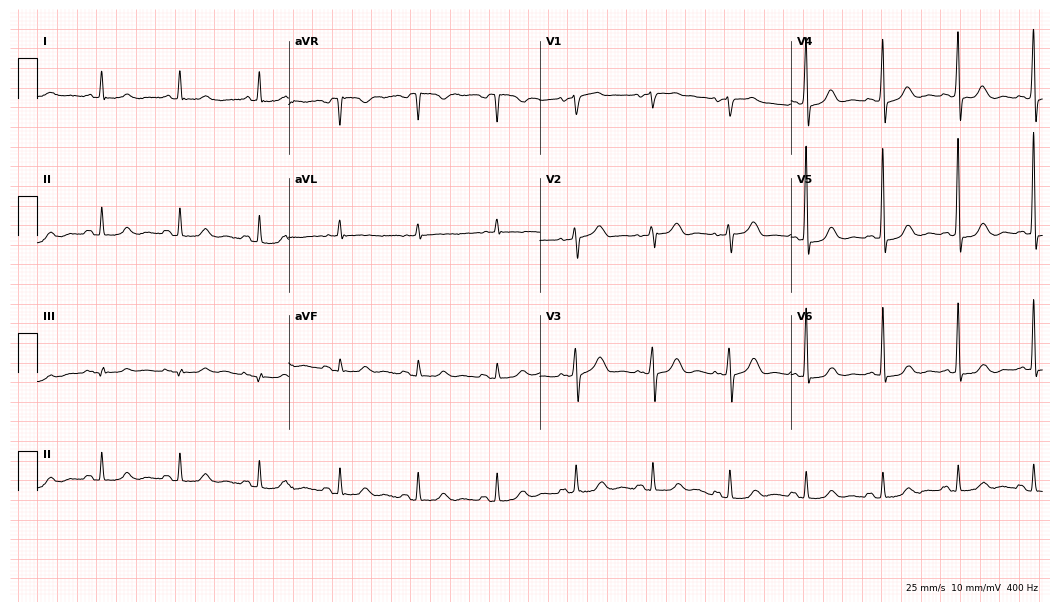
ECG — a 67-year-old female patient. Labelled as a normal ECG.